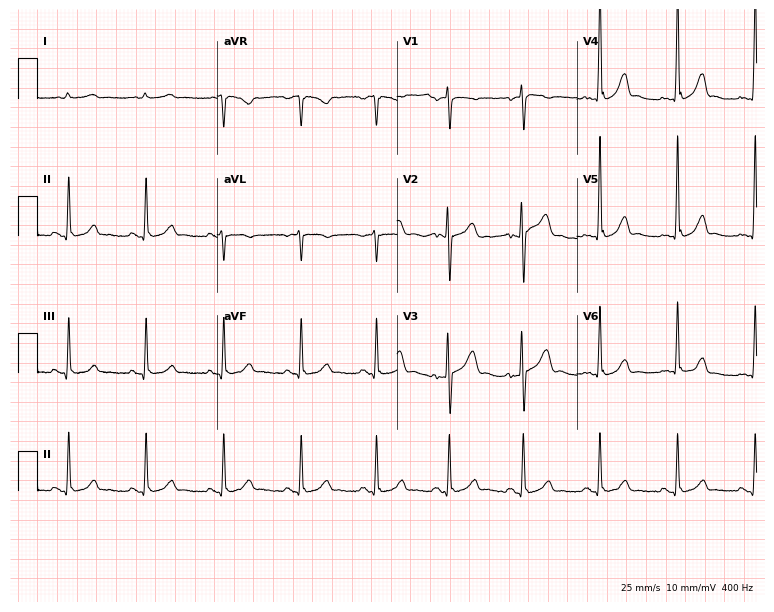
Standard 12-lead ECG recorded from a man, 37 years old (7.3-second recording at 400 Hz). Read as a normal ECG.